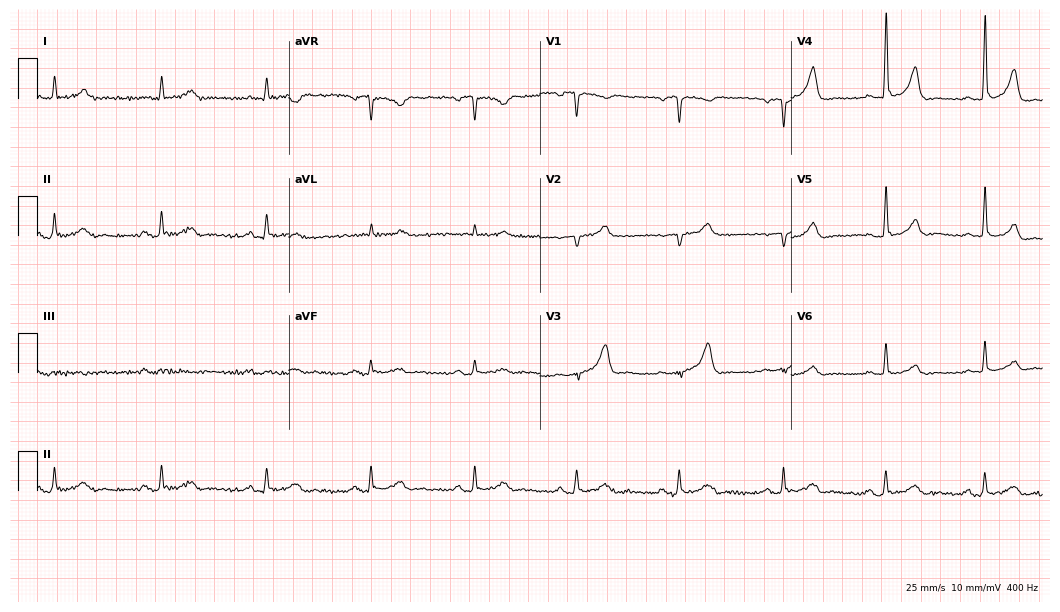
12-lead ECG from a 57-year-old male. Screened for six findings — first-degree AV block, right bundle branch block (RBBB), left bundle branch block (LBBB), sinus bradycardia, atrial fibrillation (AF), sinus tachycardia — none is recorded. Findings outside these six are not listed.